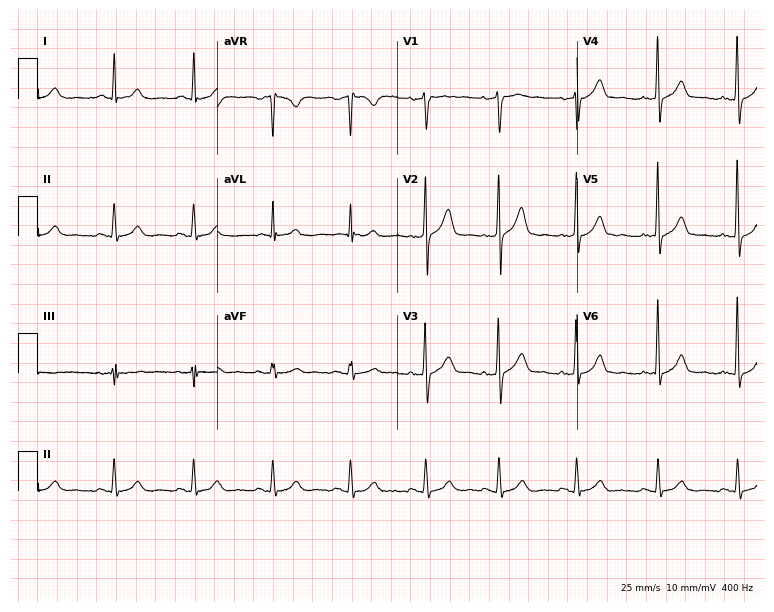
12-lead ECG from a 62-year-old male. Labelled as a normal ECG.